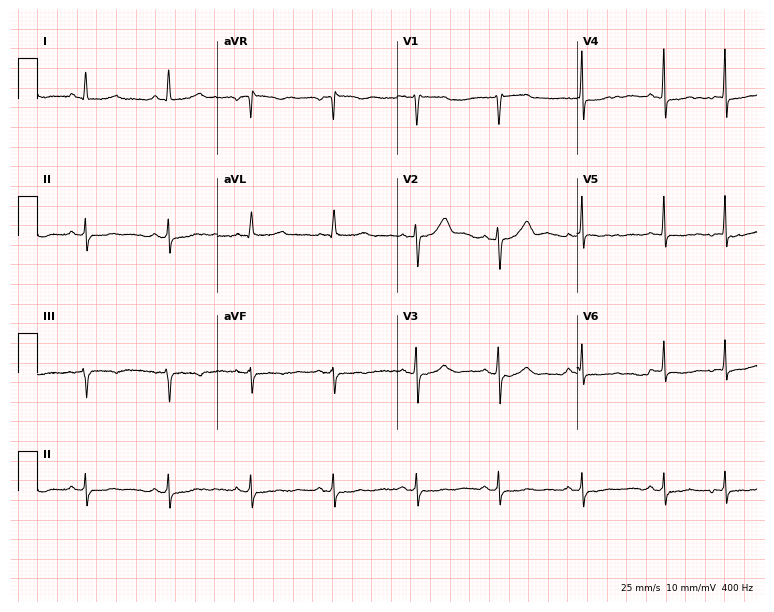
12-lead ECG from a female patient, 70 years old. No first-degree AV block, right bundle branch block, left bundle branch block, sinus bradycardia, atrial fibrillation or sinus tachycardia recorded for this tracing. Only these six findings were labelled.